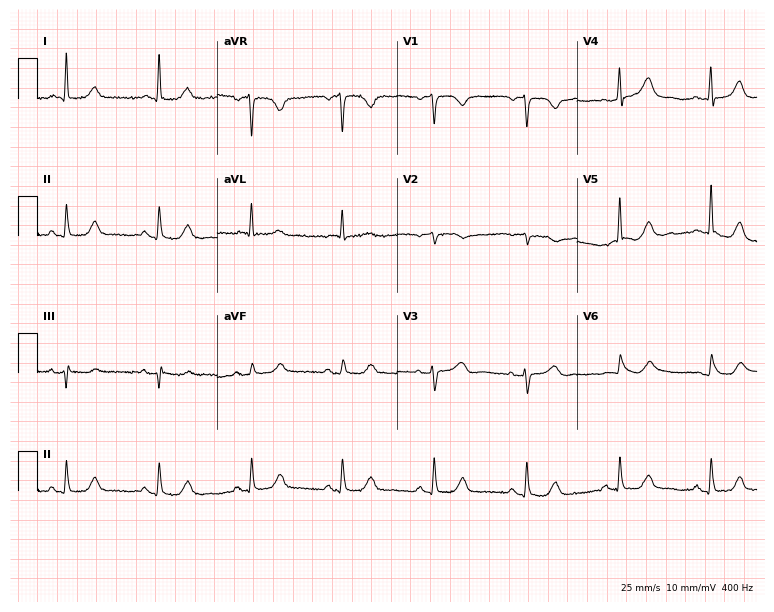
ECG (7.3-second recording at 400 Hz) — a 77-year-old female patient. Labelled as a normal ECG.